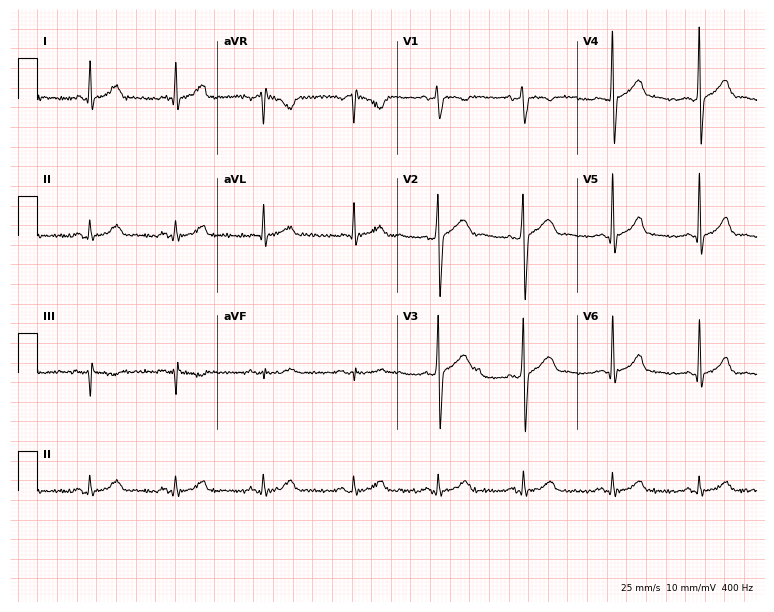
12-lead ECG (7.3-second recording at 400 Hz) from a 26-year-old man. Screened for six findings — first-degree AV block, right bundle branch block, left bundle branch block, sinus bradycardia, atrial fibrillation, sinus tachycardia — none is recorded. Findings outside these six are not listed.